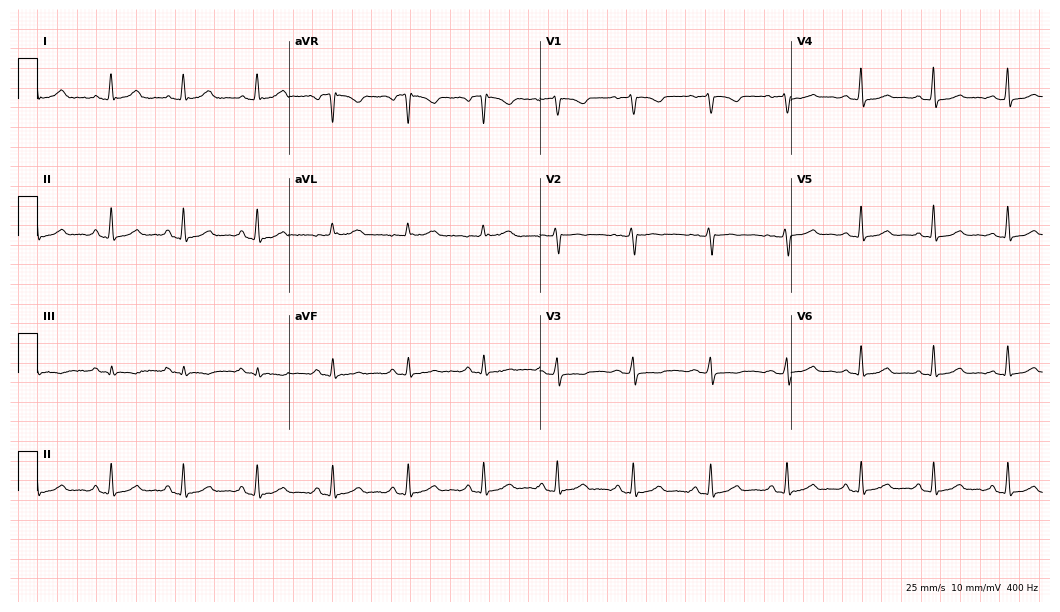
Electrocardiogram (10.2-second recording at 400 Hz), a woman, 34 years old. Of the six screened findings (first-degree AV block, right bundle branch block, left bundle branch block, sinus bradycardia, atrial fibrillation, sinus tachycardia), none is recorded.